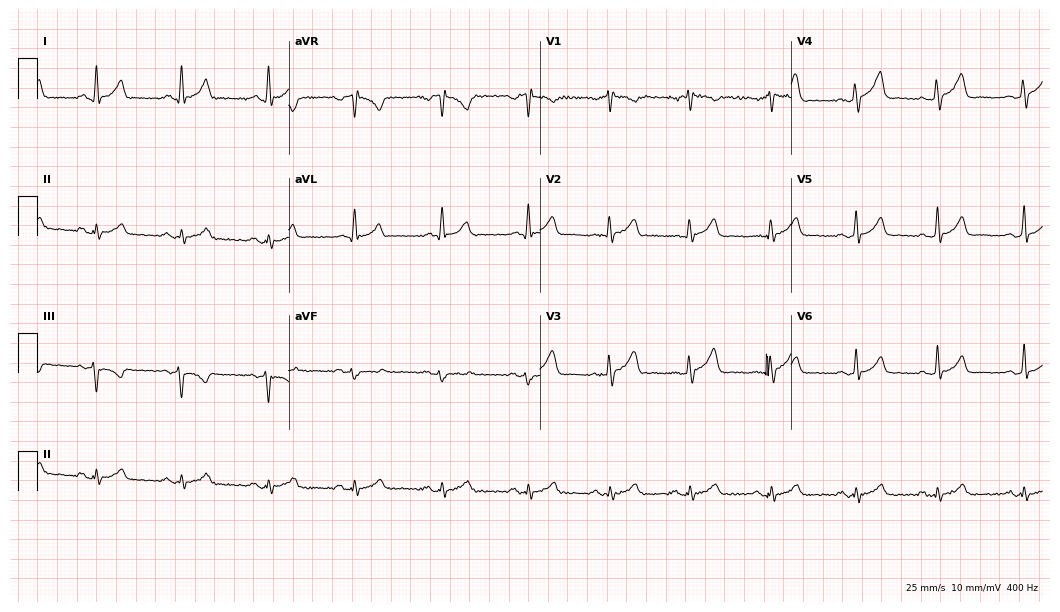
12-lead ECG from a man, 38 years old. Labelled as a normal ECG.